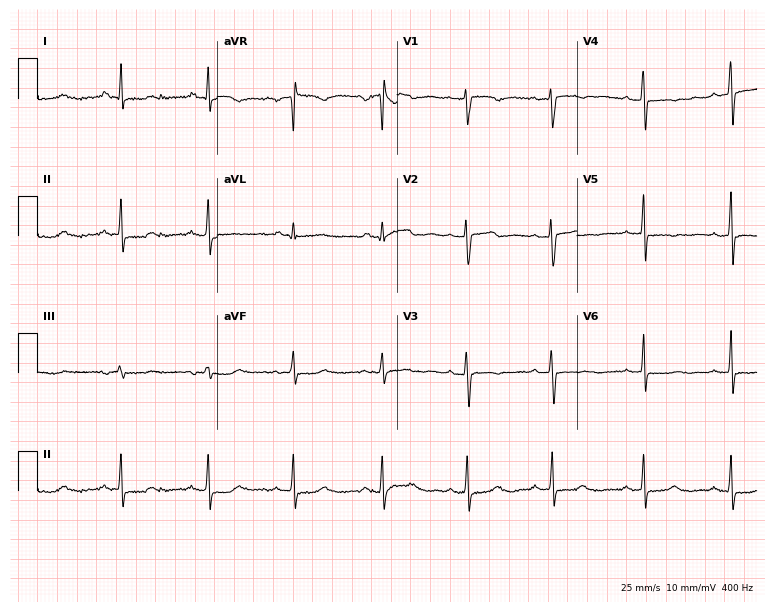
Resting 12-lead electrocardiogram. Patient: a 30-year-old female. None of these six findings is recorded: first-degree AV block, right bundle branch block (RBBB), left bundle branch block (LBBB), sinus bradycardia, atrial fibrillation (AF), sinus tachycardia.